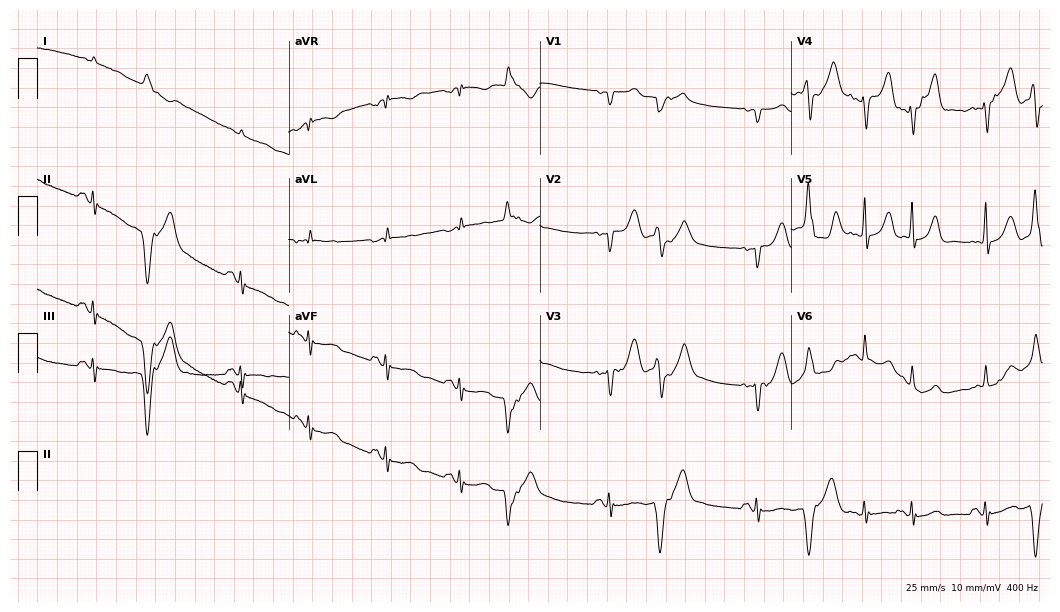
Standard 12-lead ECG recorded from an 85-year-old female patient (10.2-second recording at 400 Hz). None of these six findings is recorded: first-degree AV block, right bundle branch block, left bundle branch block, sinus bradycardia, atrial fibrillation, sinus tachycardia. Only these six findings were labelled.